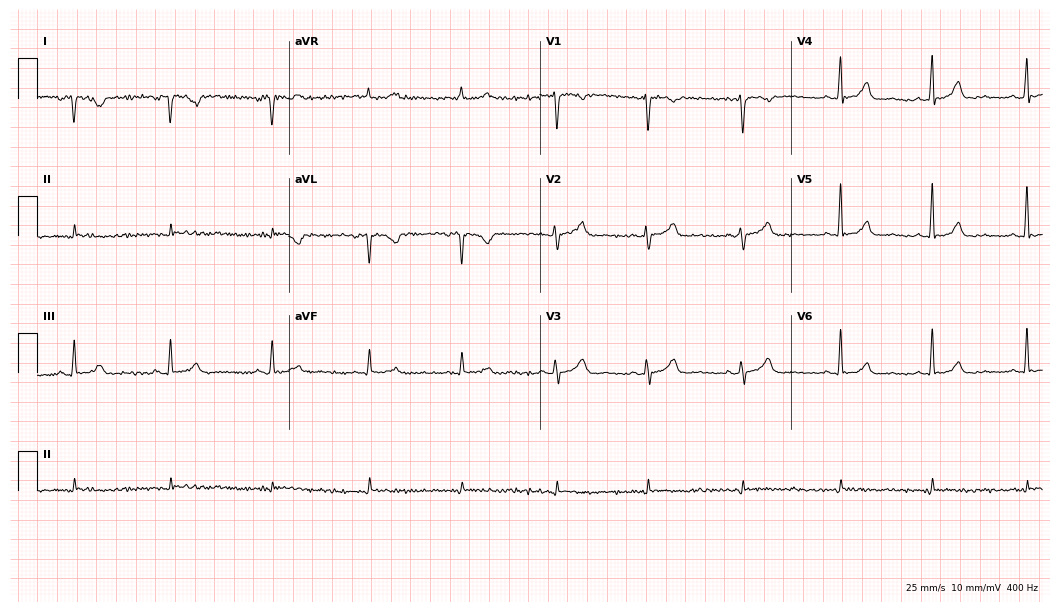
12-lead ECG from a 47-year-old female patient (10.2-second recording at 400 Hz). No first-degree AV block, right bundle branch block, left bundle branch block, sinus bradycardia, atrial fibrillation or sinus tachycardia recorded for this tracing. Findings outside these six are not listed.